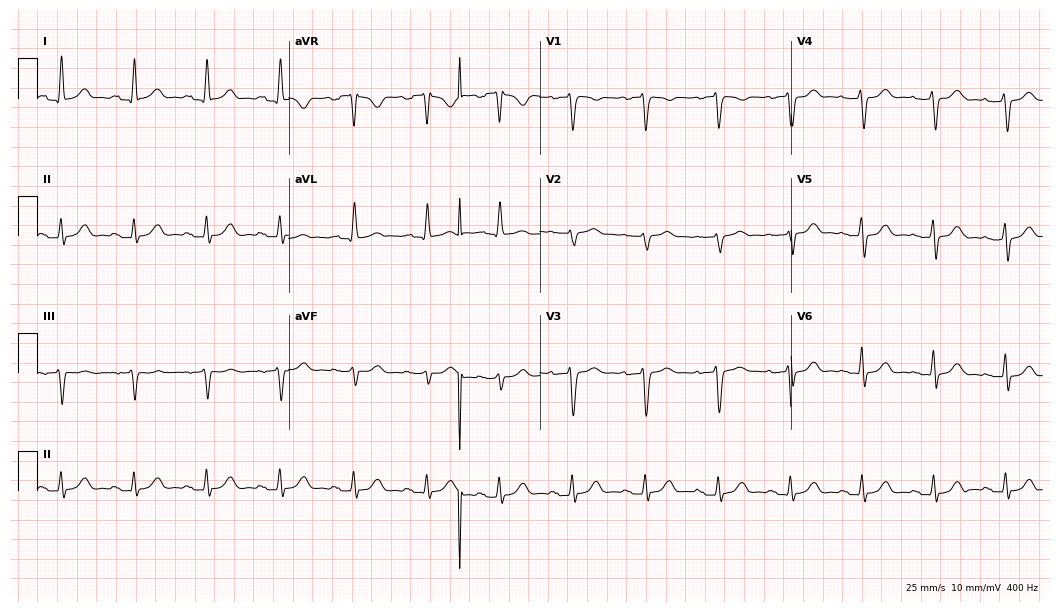
12-lead ECG from a 55-year-old woman (10.2-second recording at 400 Hz). Recorded interpretation: within normal limits.